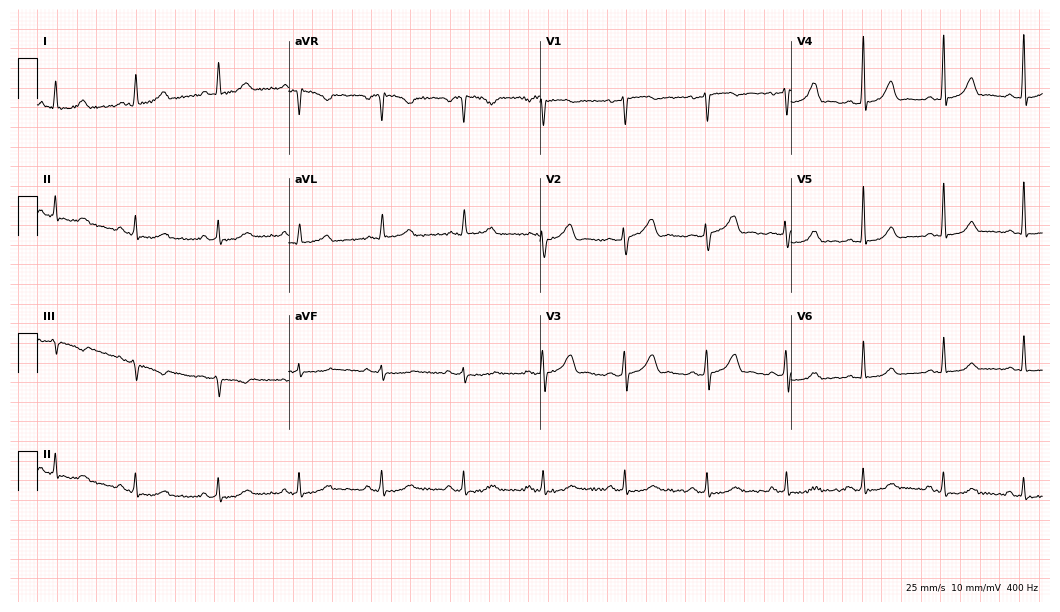
Resting 12-lead electrocardiogram. Patient: a 46-year-old female. Read as a normal ECG.